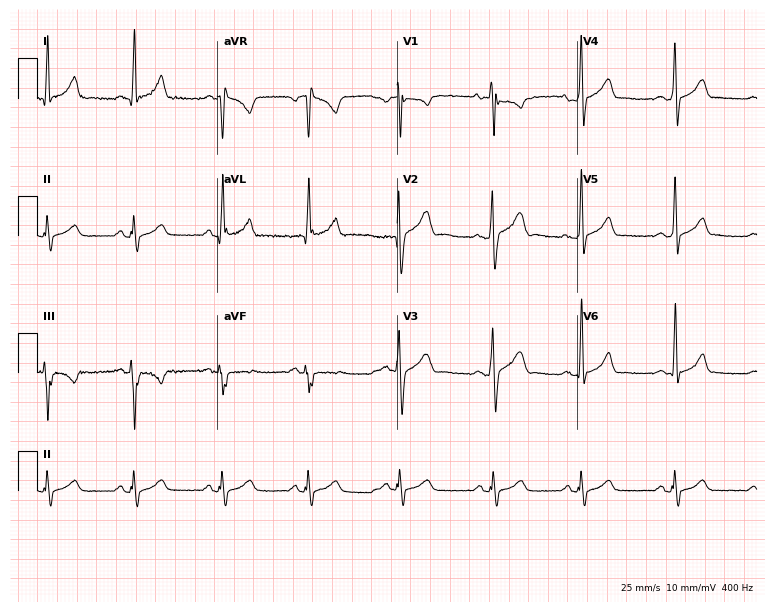
Standard 12-lead ECG recorded from a male, 31 years old (7.3-second recording at 400 Hz). None of these six findings is recorded: first-degree AV block, right bundle branch block (RBBB), left bundle branch block (LBBB), sinus bradycardia, atrial fibrillation (AF), sinus tachycardia.